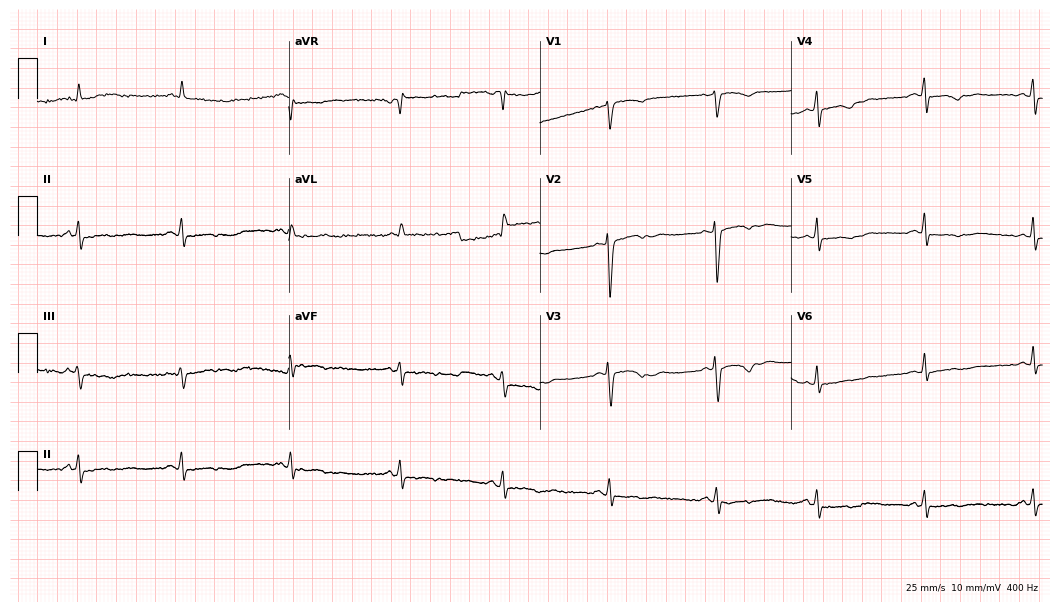
12-lead ECG from a female, 50 years old. Screened for six findings — first-degree AV block, right bundle branch block, left bundle branch block, sinus bradycardia, atrial fibrillation, sinus tachycardia — none is recorded. Only these six findings were labelled.